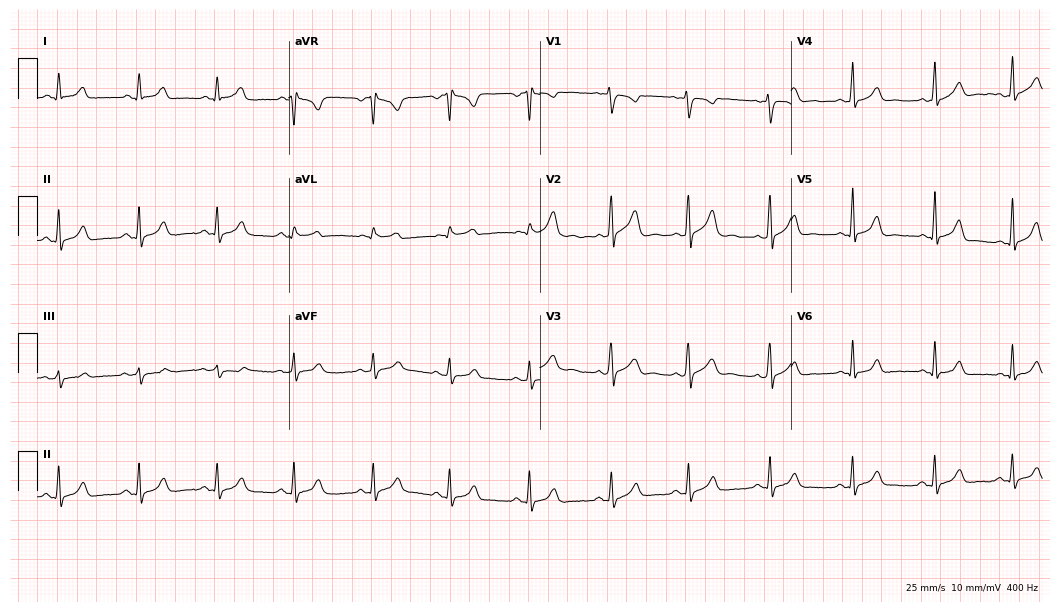
12-lead ECG from a 17-year-old female (10.2-second recording at 400 Hz). No first-degree AV block, right bundle branch block, left bundle branch block, sinus bradycardia, atrial fibrillation or sinus tachycardia recorded for this tracing. Only these six findings were labelled.